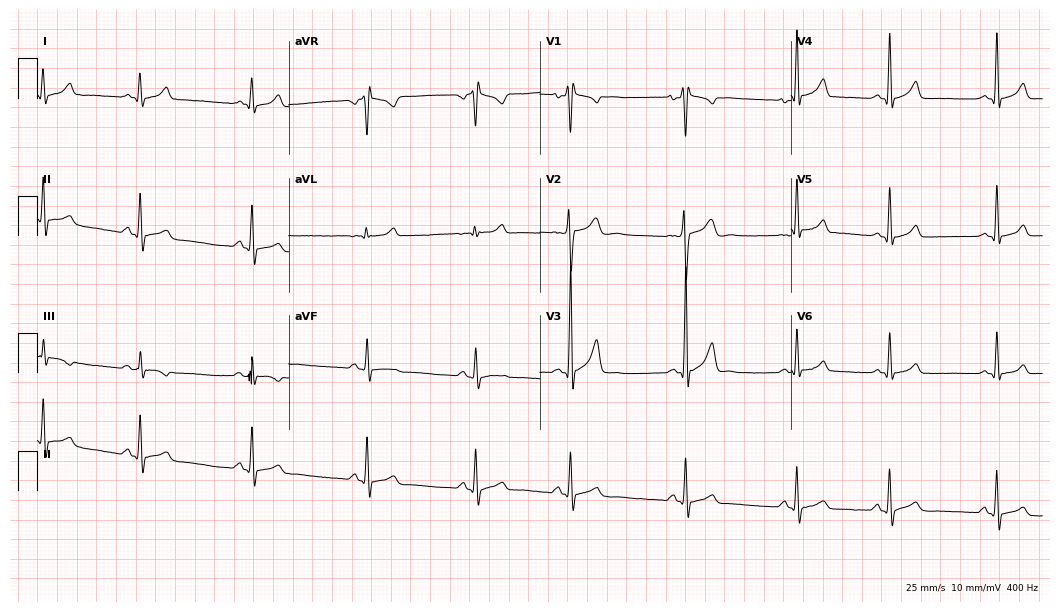
ECG — a 17-year-old man. Labelled as a normal ECG.